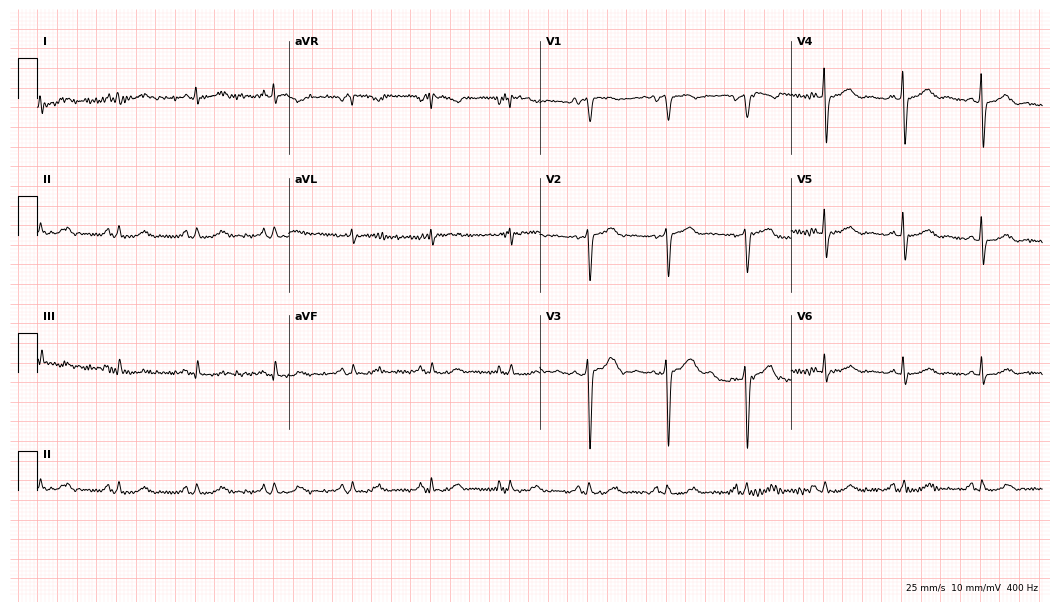
12-lead ECG (10.2-second recording at 400 Hz) from a male patient, 68 years old. Screened for six findings — first-degree AV block, right bundle branch block, left bundle branch block, sinus bradycardia, atrial fibrillation, sinus tachycardia — none is recorded. Only these six findings were labelled.